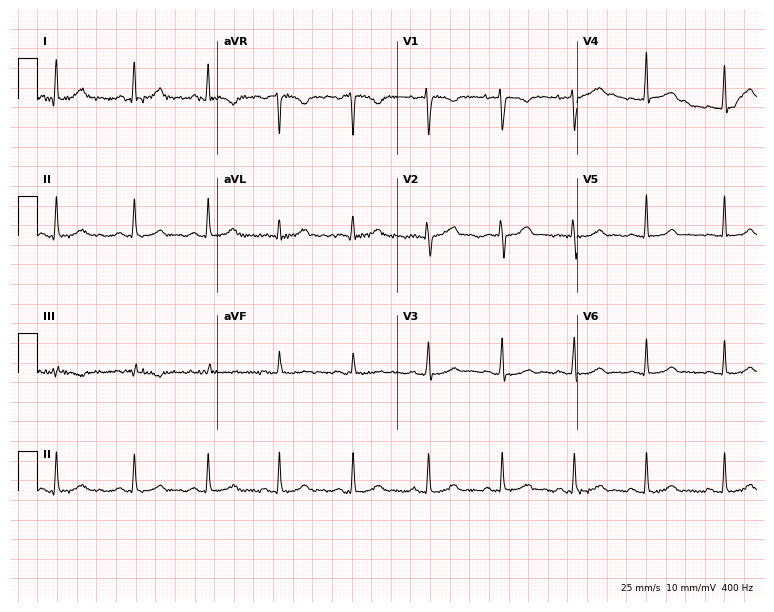
Standard 12-lead ECG recorded from a 22-year-old female (7.3-second recording at 400 Hz). Read as a normal ECG.